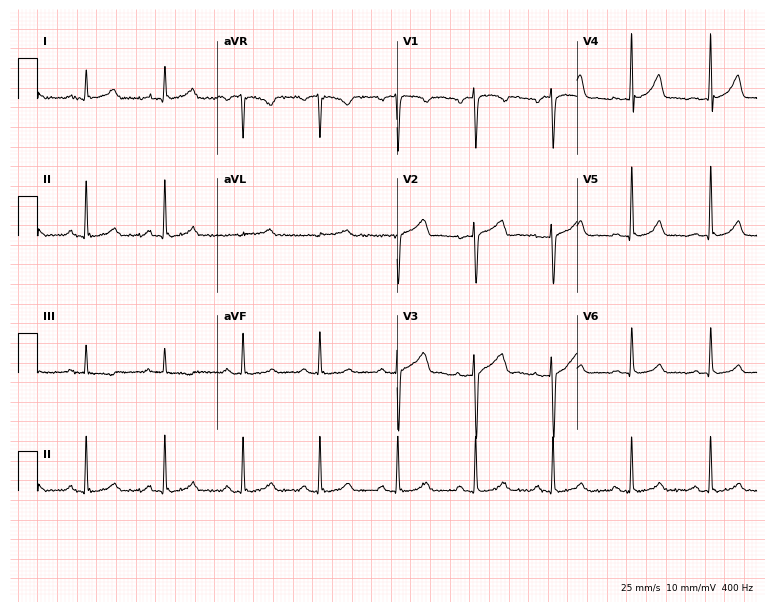
Standard 12-lead ECG recorded from a 47-year-old male. None of these six findings is recorded: first-degree AV block, right bundle branch block, left bundle branch block, sinus bradycardia, atrial fibrillation, sinus tachycardia. Only these six findings were labelled.